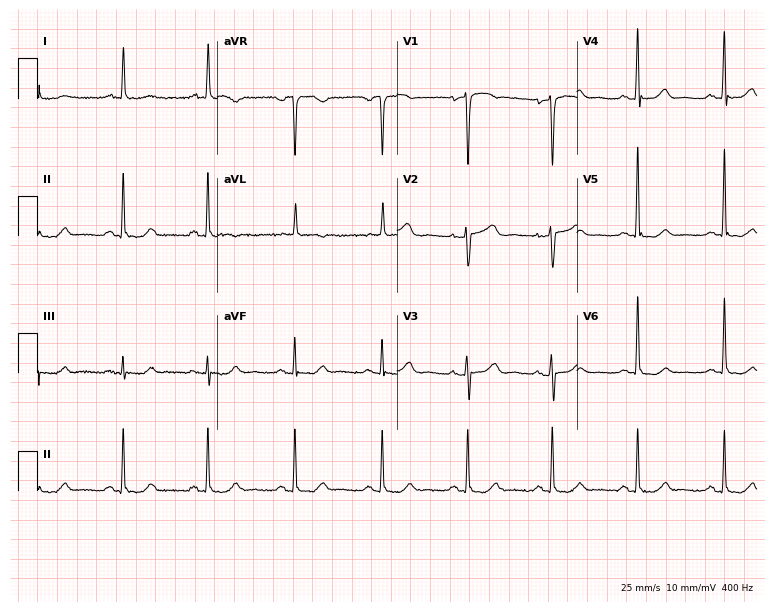
12-lead ECG from a 77-year-old female patient (7.3-second recording at 400 Hz). Recorded interpretation: within normal limits.